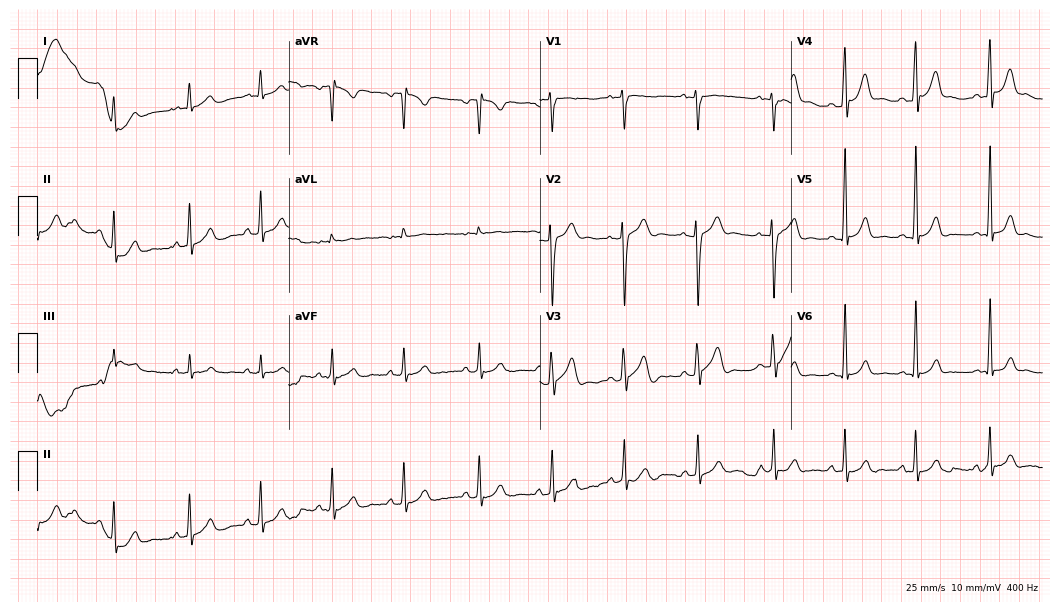
Electrocardiogram, a man, 21 years old. Of the six screened findings (first-degree AV block, right bundle branch block, left bundle branch block, sinus bradycardia, atrial fibrillation, sinus tachycardia), none is recorded. Other findings, if any, are not listed.